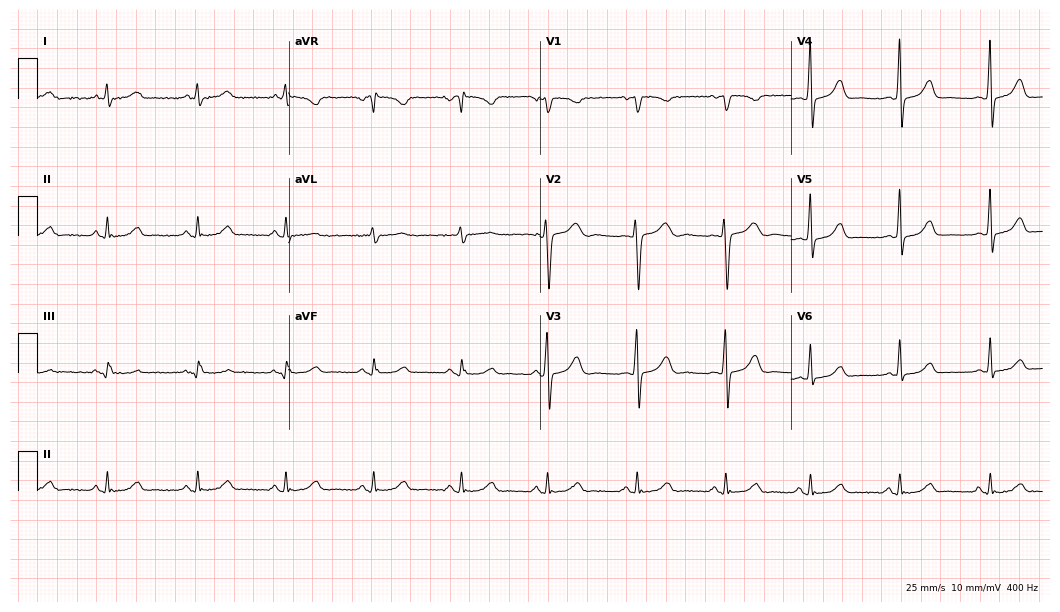
ECG — a 36-year-old woman. Screened for six findings — first-degree AV block, right bundle branch block (RBBB), left bundle branch block (LBBB), sinus bradycardia, atrial fibrillation (AF), sinus tachycardia — none is recorded. Findings outside these six are not listed.